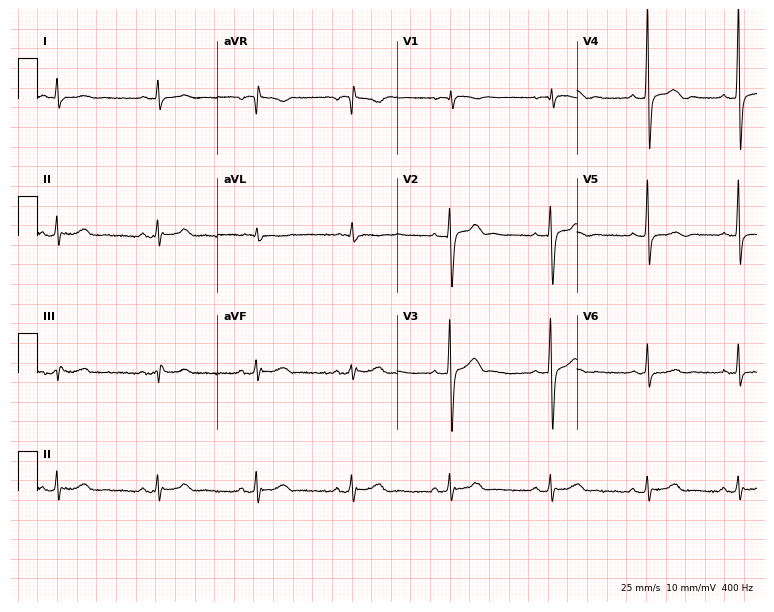
Standard 12-lead ECG recorded from a male, 35 years old. None of these six findings is recorded: first-degree AV block, right bundle branch block, left bundle branch block, sinus bradycardia, atrial fibrillation, sinus tachycardia. Findings outside these six are not listed.